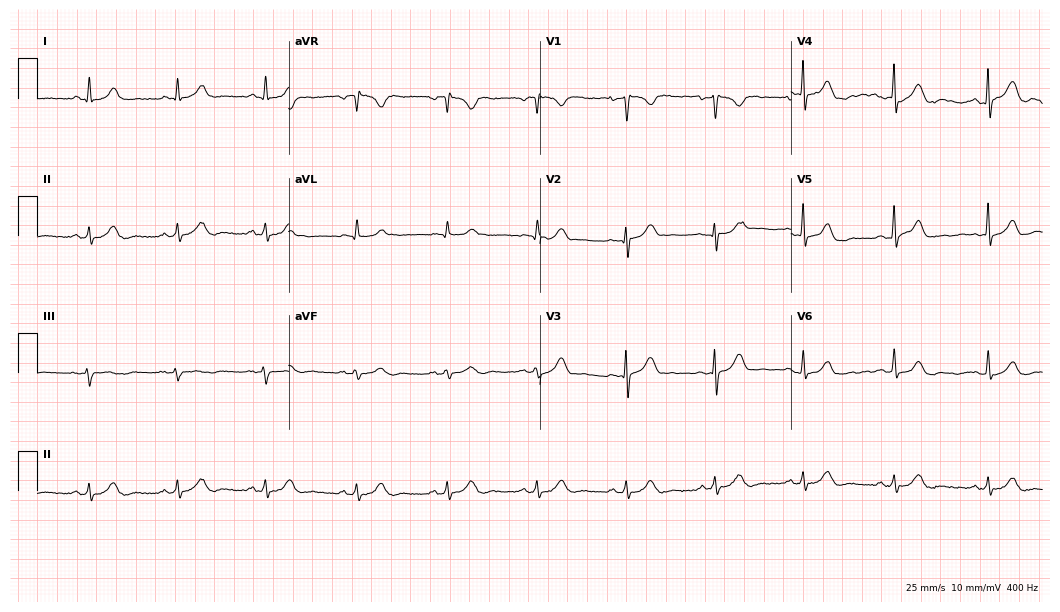
Electrocardiogram, a woman, 50 years old. Overall reading on record: normal ECG.